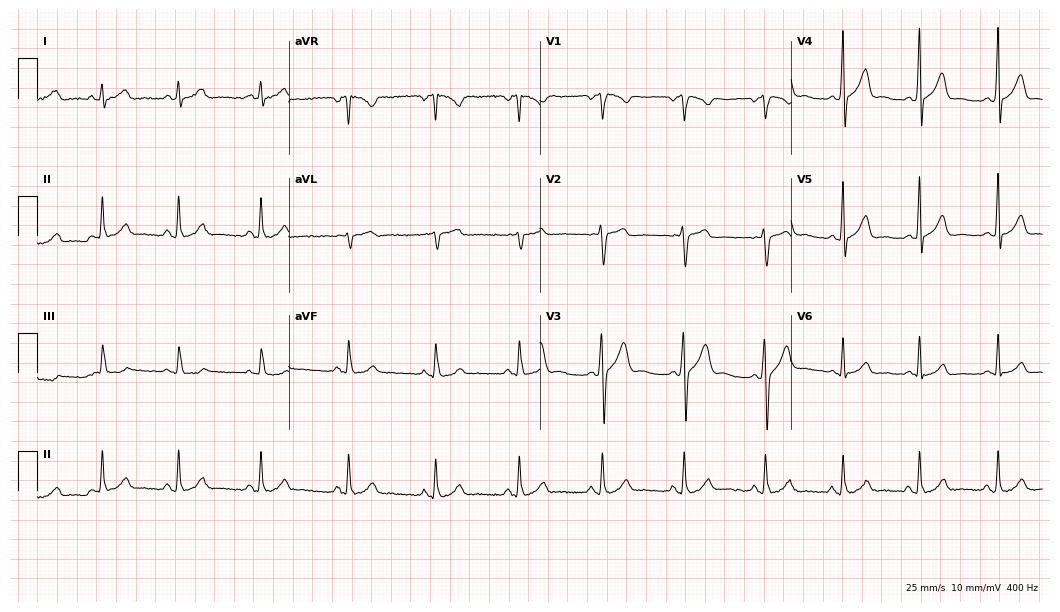
ECG — a male patient, 28 years old. Labelled as a normal ECG.